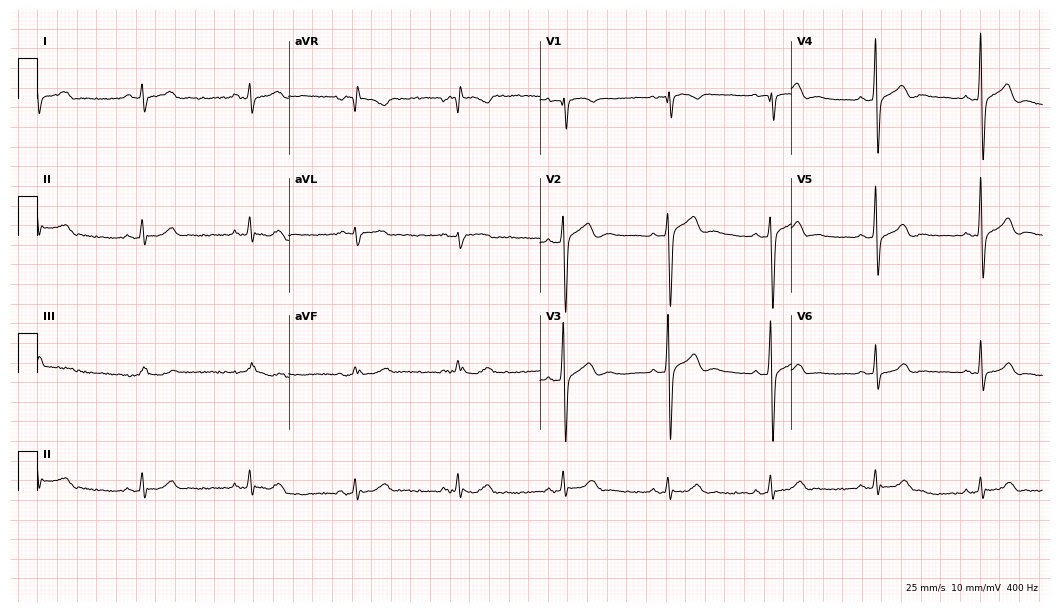
Resting 12-lead electrocardiogram. Patient: a man, 47 years old. Read as a normal ECG.